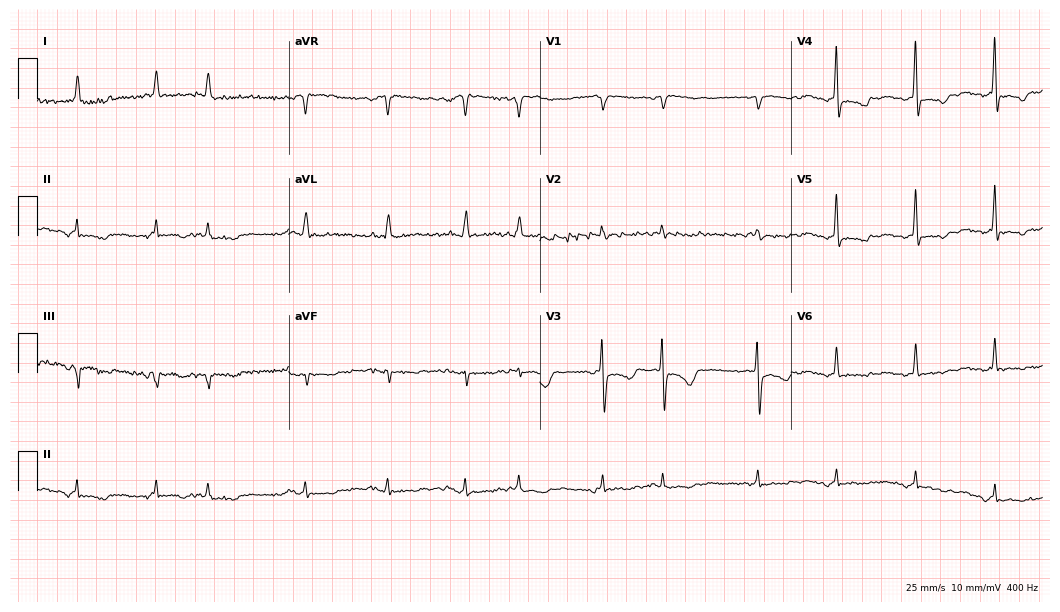
Standard 12-lead ECG recorded from a female, 75 years old (10.2-second recording at 400 Hz). None of these six findings is recorded: first-degree AV block, right bundle branch block, left bundle branch block, sinus bradycardia, atrial fibrillation, sinus tachycardia.